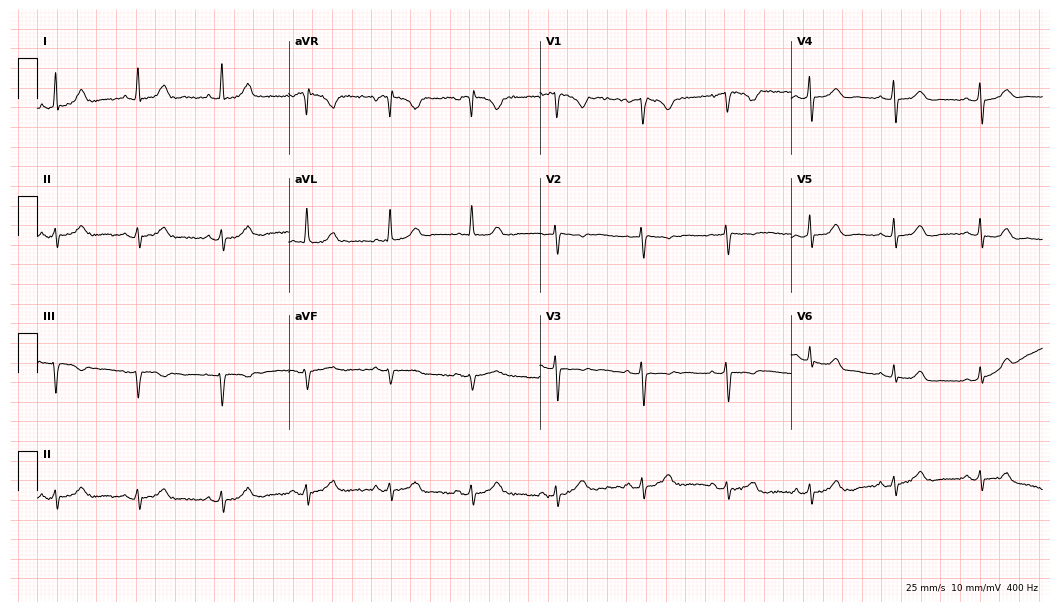
Resting 12-lead electrocardiogram (10.2-second recording at 400 Hz). Patient: a female, 46 years old. Read as a normal ECG.